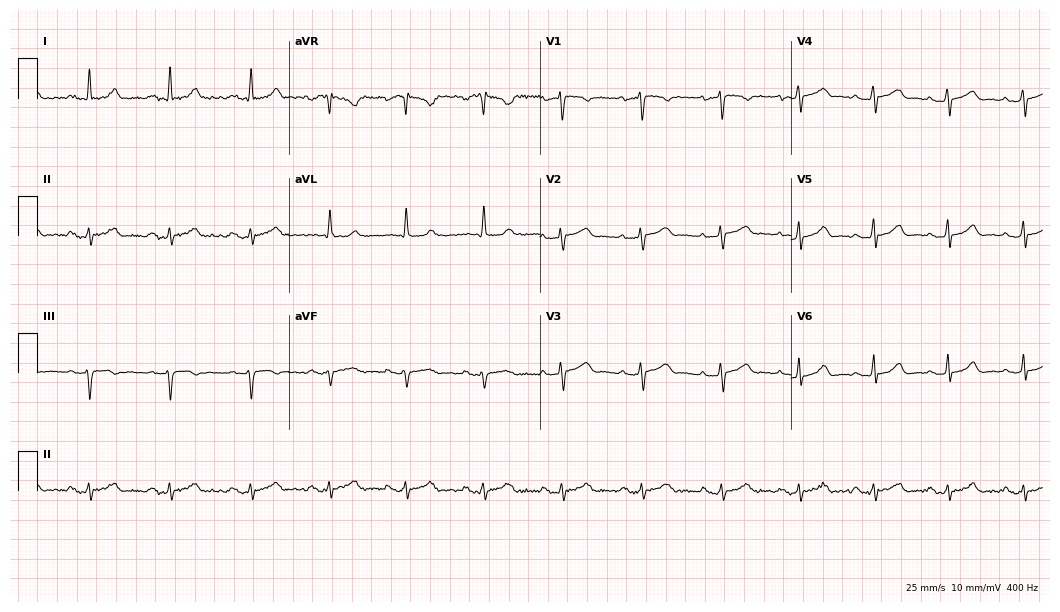
Electrocardiogram, a 39-year-old female patient. Overall reading on record: normal ECG.